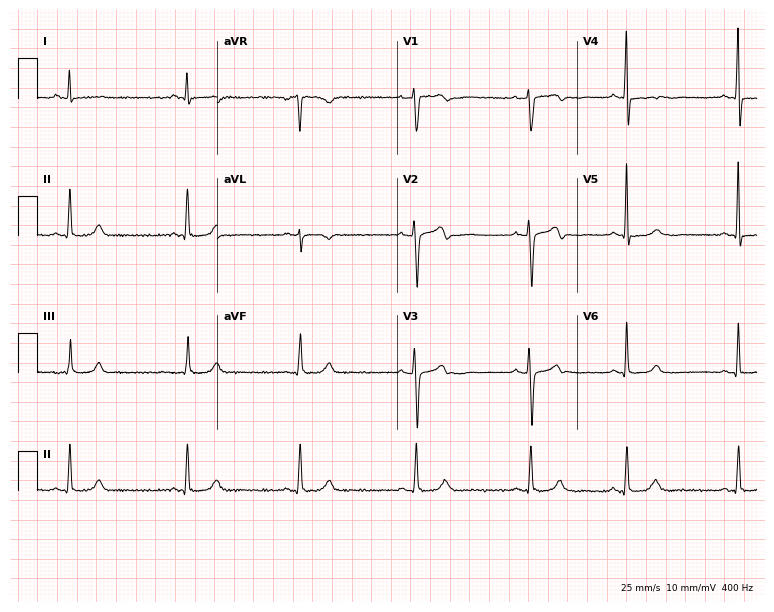
Electrocardiogram, a 34-year-old female patient. Of the six screened findings (first-degree AV block, right bundle branch block, left bundle branch block, sinus bradycardia, atrial fibrillation, sinus tachycardia), none is recorded.